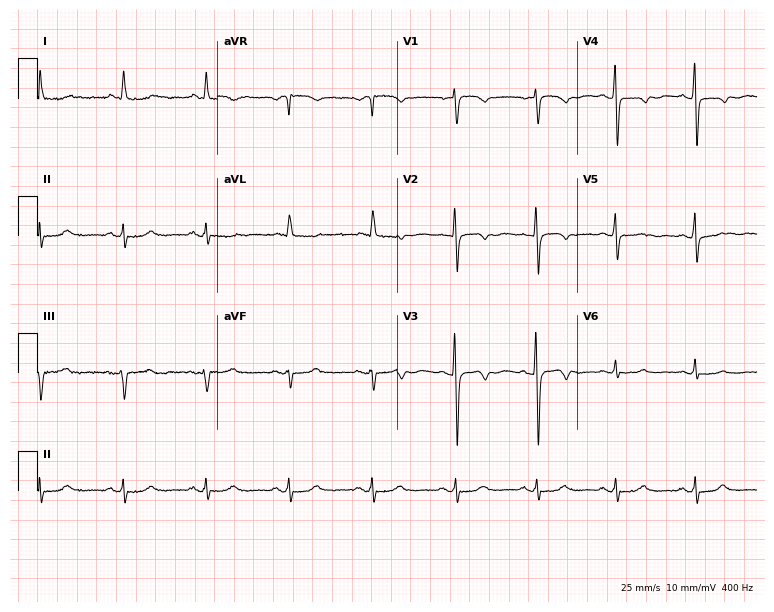
12-lead ECG from a female patient, 61 years old. No first-degree AV block, right bundle branch block, left bundle branch block, sinus bradycardia, atrial fibrillation or sinus tachycardia recorded for this tracing. Only these six findings were labelled.